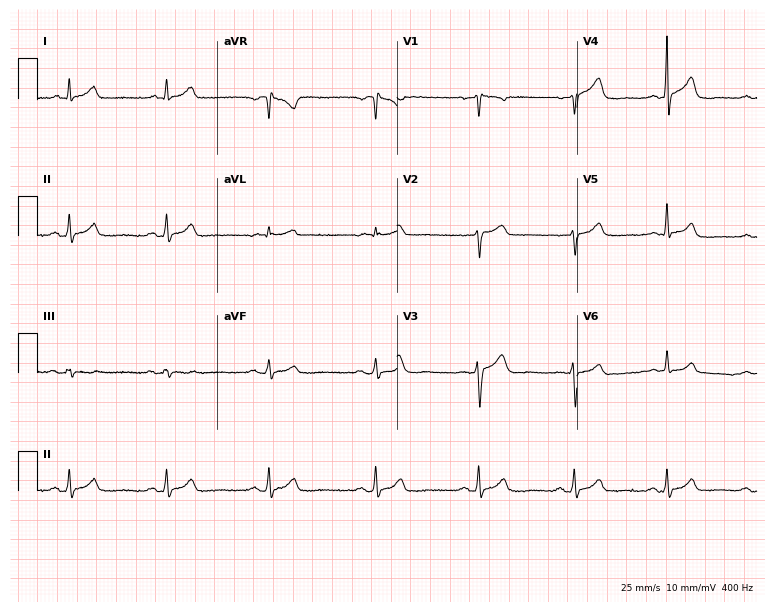
12-lead ECG from a 50-year-old female (7.3-second recording at 400 Hz). Recorded interpretation: within normal limits.